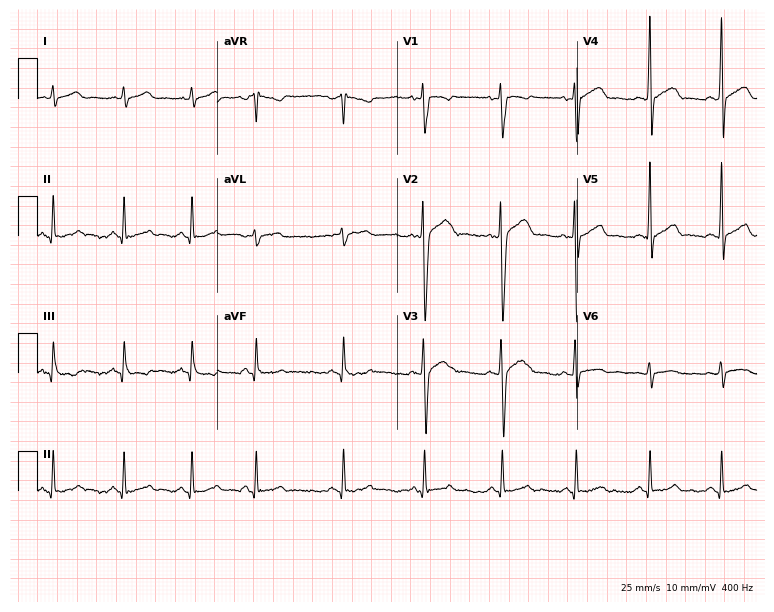
12-lead ECG from a man, 20 years old (7.3-second recording at 400 Hz). Recorded interpretation: within normal limits.